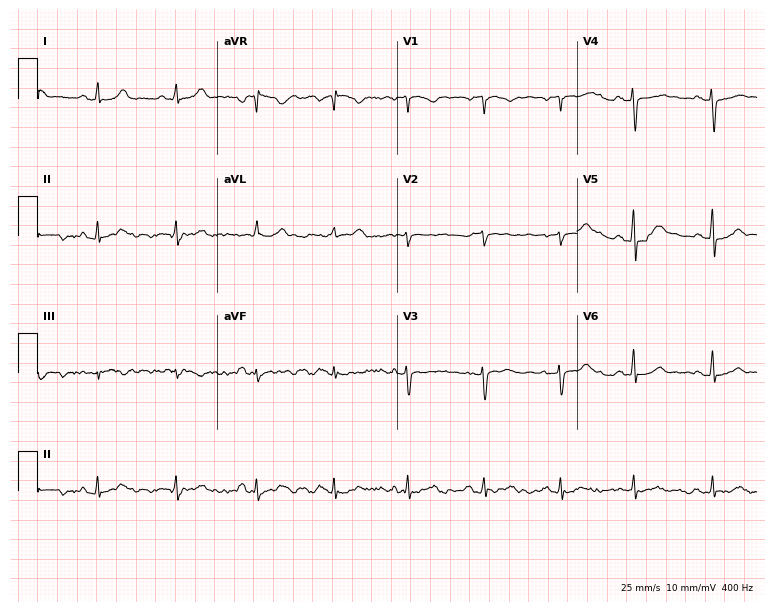
ECG (7.3-second recording at 400 Hz) — a 40-year-old female patient. Labelled as a normal ECG.